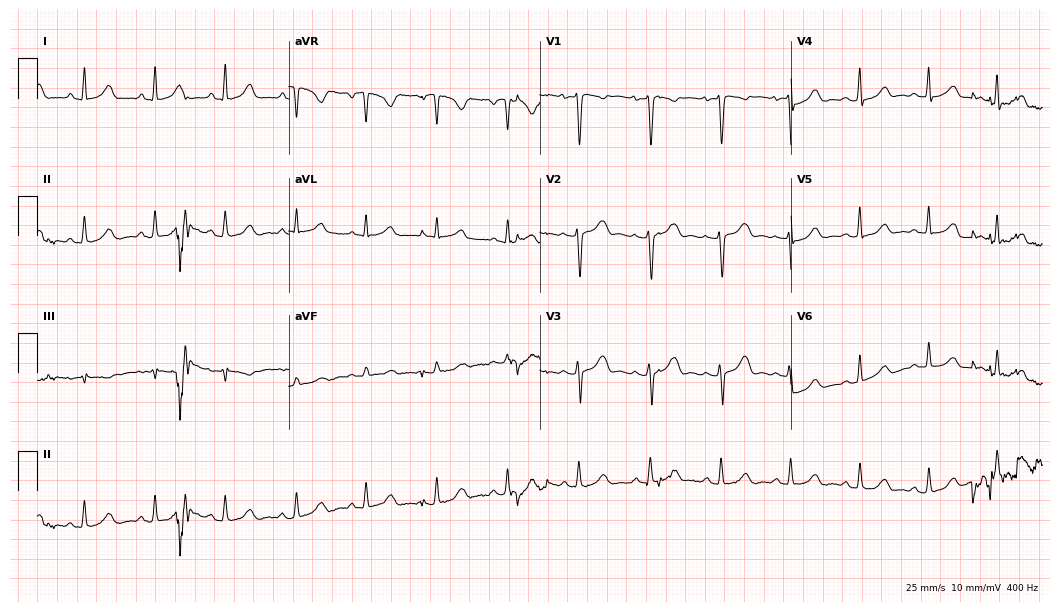
12-lead ECG from a female, 34 years old. Recorded interpretation: within normal limits.